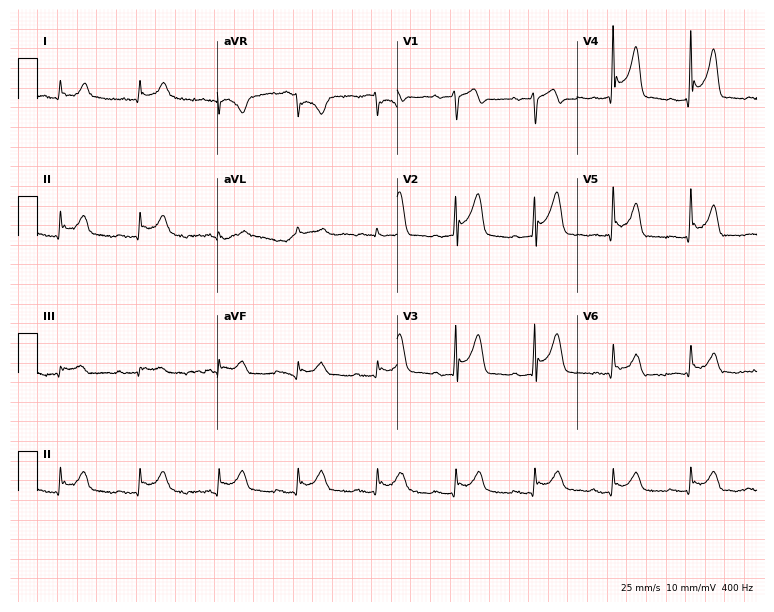
Standard 12-lead ECG recorded from a 79-year-old male patient (7.3-second recording at 400 Hz). None of these six findings is recorded: first-degree AV block, right bundle branch block, left bundle branch block, sinus bradycardia, atrial fibrillation, sinus tachycardia. Other findings, if any, are not listed.